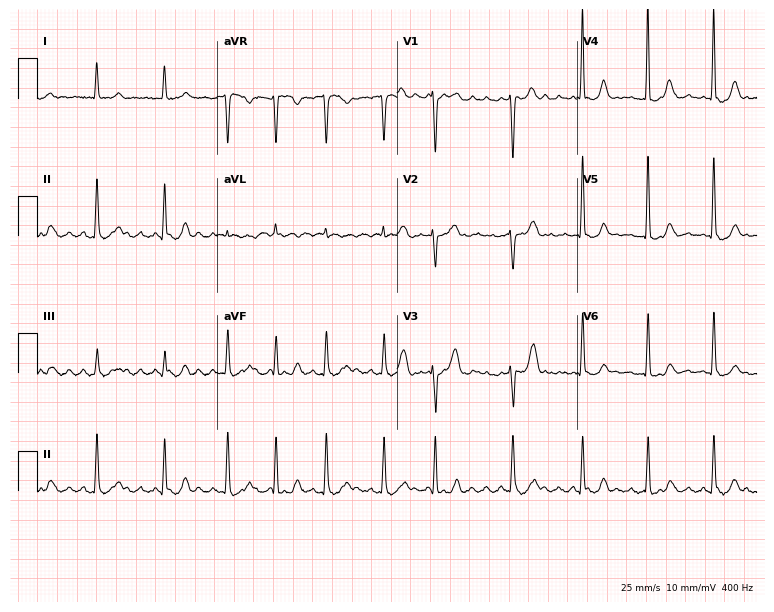
Resting 12-lead electrocardiogram (7.3-second recording at 400 Hz). Patient: a female, 75 years old. The tracing shows atrial fibrillation.